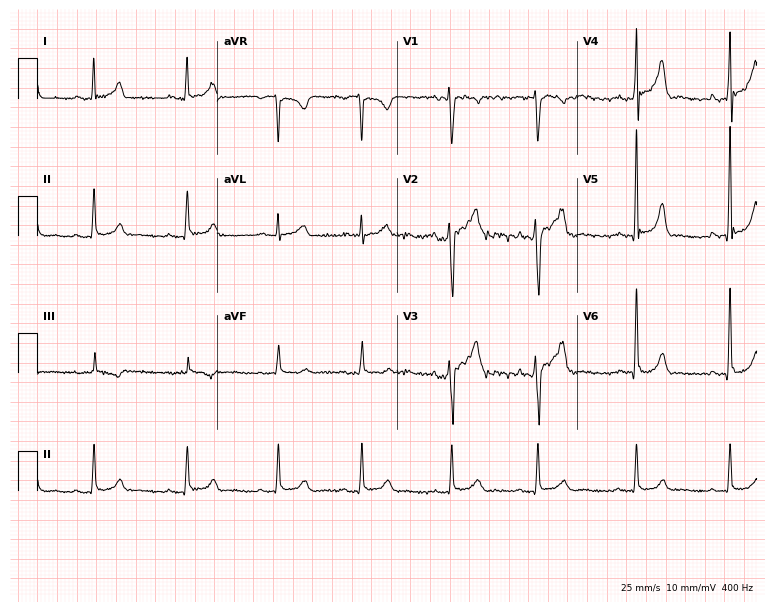
ECG (7.3-second recording at 400 Hz) — a 36-year-old male. Labelled as a normal ECG.